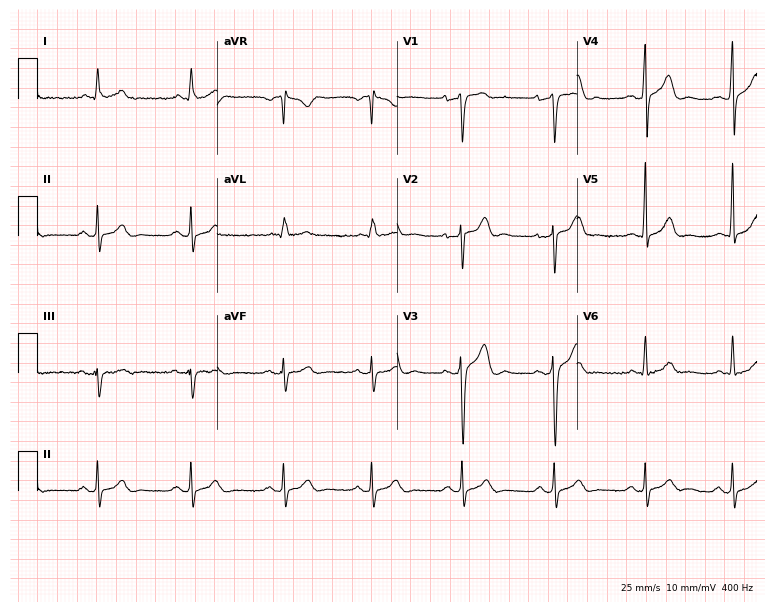
ECG (7.3-second recording at 400 Hz) — a male patient, 29 years old. Screened for six findings — first-degree AV block, right bundle branch block, left bundle branch block, sinus bradycardia, atrial fibrillation, sinus tachycardia — none is recorded.